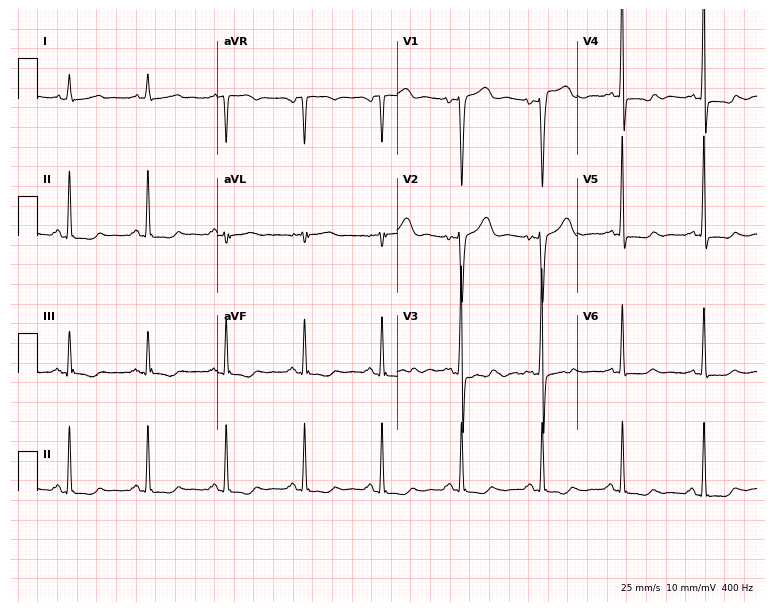
Resting 12-lead electrocardiogram. Patient: a female, 55 years old. None of these six findings is recorded: first-degree AV block, right bundle branch block, left bundle branch block, sinus bradycardia, atrial fibrillation, sinus tachycardia. Only these six findings were labelled.